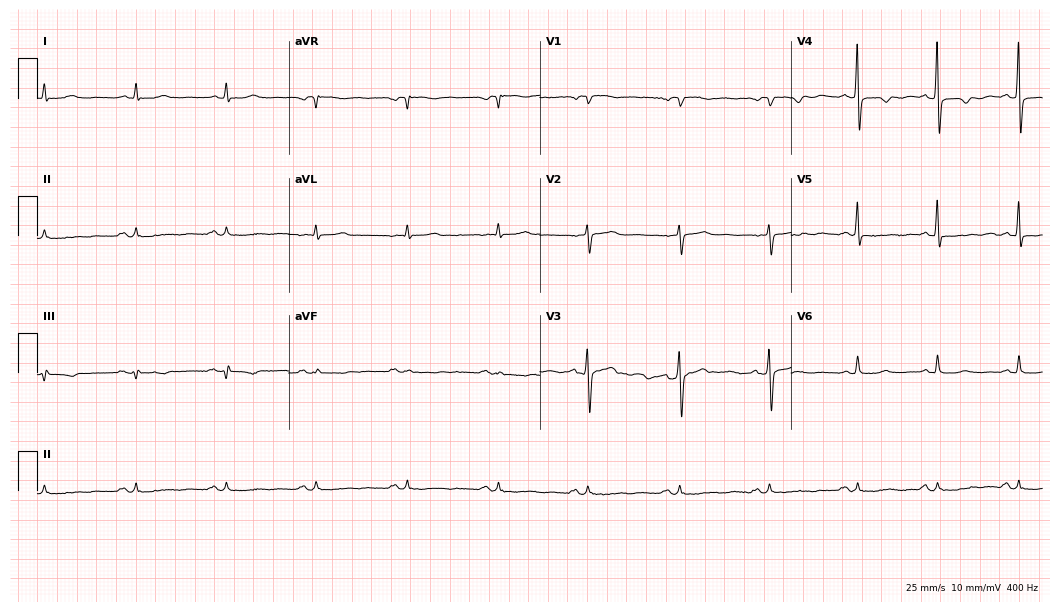
Electrocardiogram (10.2-second recording at 400 Hz), a female patient, 60 years old. Of the six screened findings (first-degree AV block, right bundle branch block, left bundle branch block, sinus bradycardia, atrial fibrillation, sinus tachycardia), none is recorded. Only these six findings were labelled.